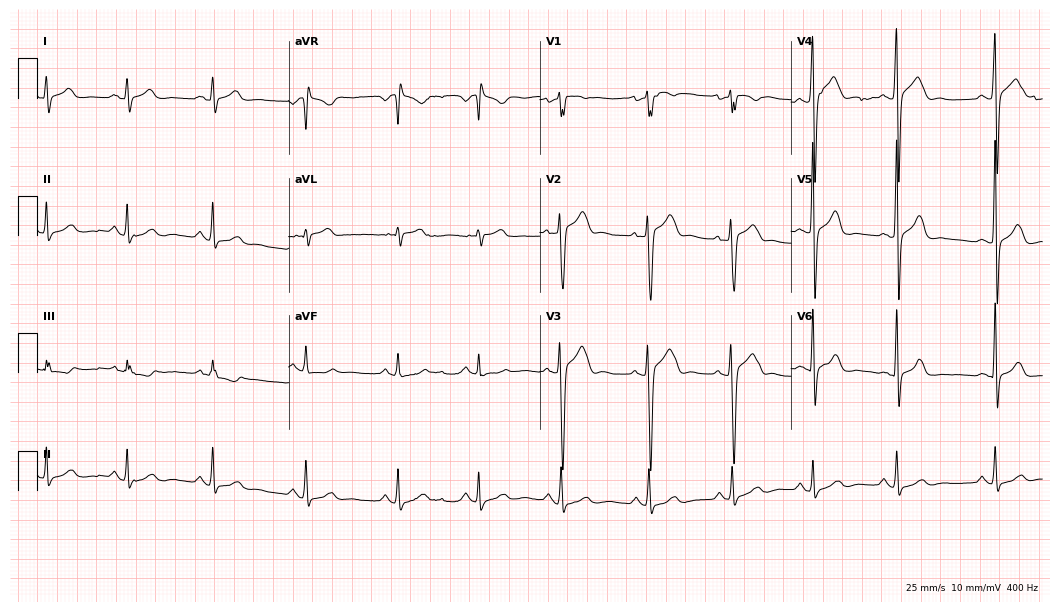
Standard 12-lead ECG recorded from a male patient, 24 years old (10.2-second recording at 400 Hz). None of these six findings is recorded: first-degree AV block, right bundle branch block, left bundle branch block, sinus bradycardia, atrial fibrillation, sinus tachycardia. Findings outside these six are not listed.